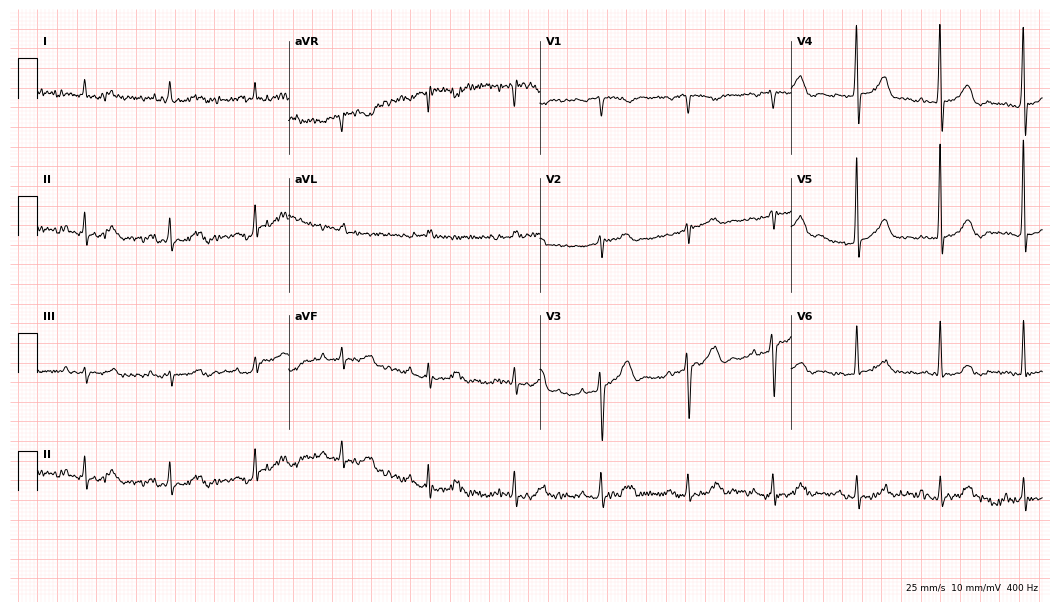
Electrocardiogram (10.2-second recording at 400 Hz), a man, 77 years old. Overall reading on record: normal ECG.